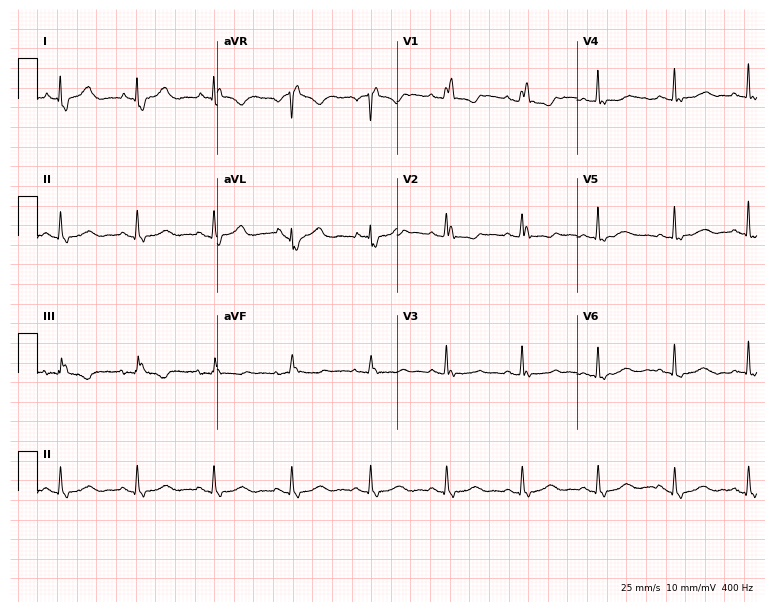
Electrocardiogram (7.3-second recording at 400 Hz), a 74-year-old female patient. Of the six screened findings (first-degree AV block, right bundle branch block, left bundle branch block, sinus bradycardia, atrial fibrillation, sinus tachycardia), none is recorded. Findings outside these six are not listed.